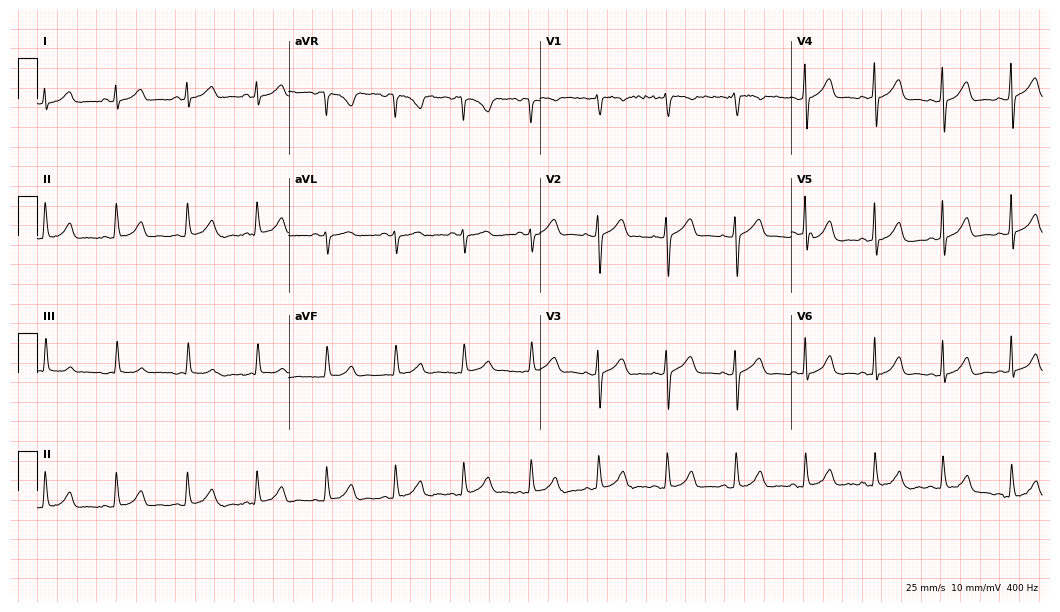
Electrocardiogram, a woman, 39 years old. Overall reading on record: normal ECG.